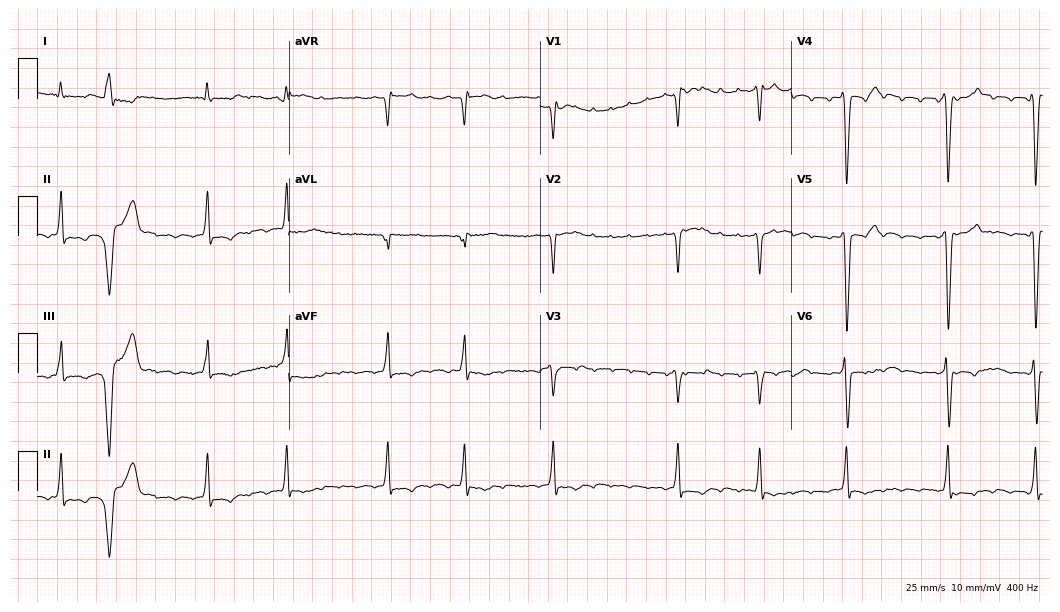
Electrocardiogram, a man, 69 years old. Interpretation includes atrial fibrillation.